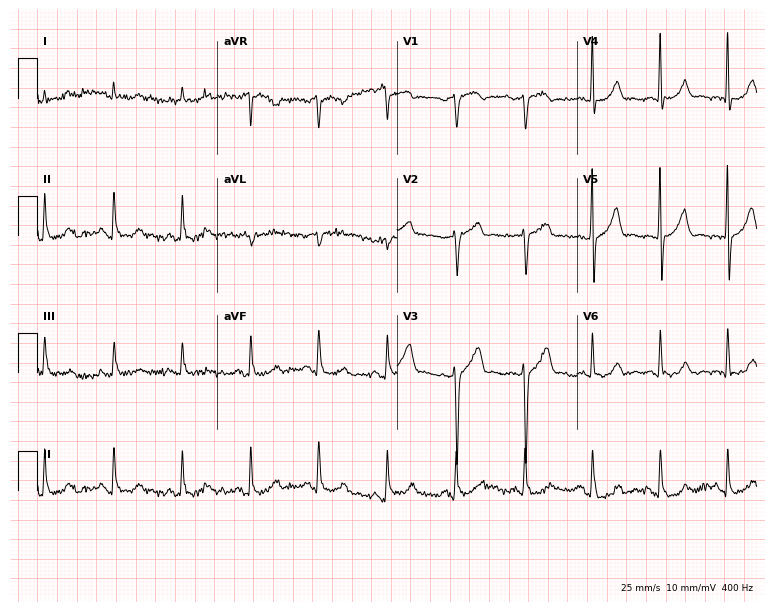
Standard 12-lead ECG recorded from a 63-year-old male. Read as a normal ECG.